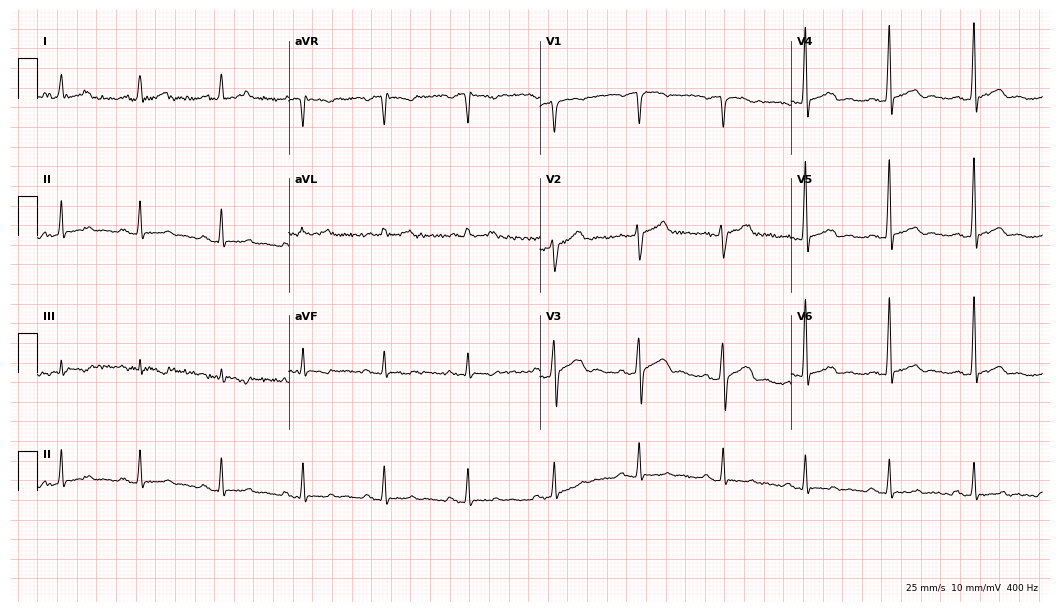
ECG (10.2-second recording at 400 Hz) — a man, 41 years old. Screened for six findings — first-degree AV block, right bundle branch block, left bundle branch block, sinus bradycardia, atrial fibrillation, sinus tachycardia — none is recorded. Only these six findings were labelled.